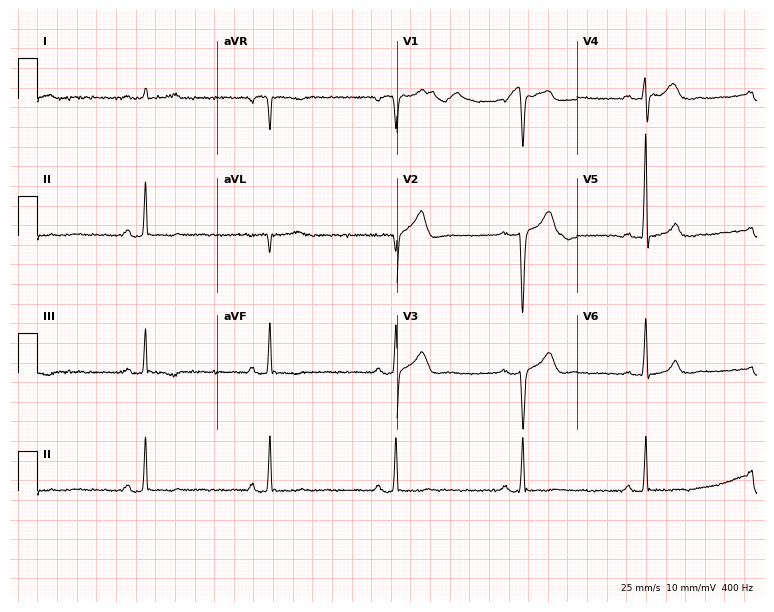
Standard 12-lead ECG recorded from a male patient, 47 years old (7.3-second recording at 400 Hz). The tracing shows sinus bradycardia (a sinus rate of 50 beats per minute or less).